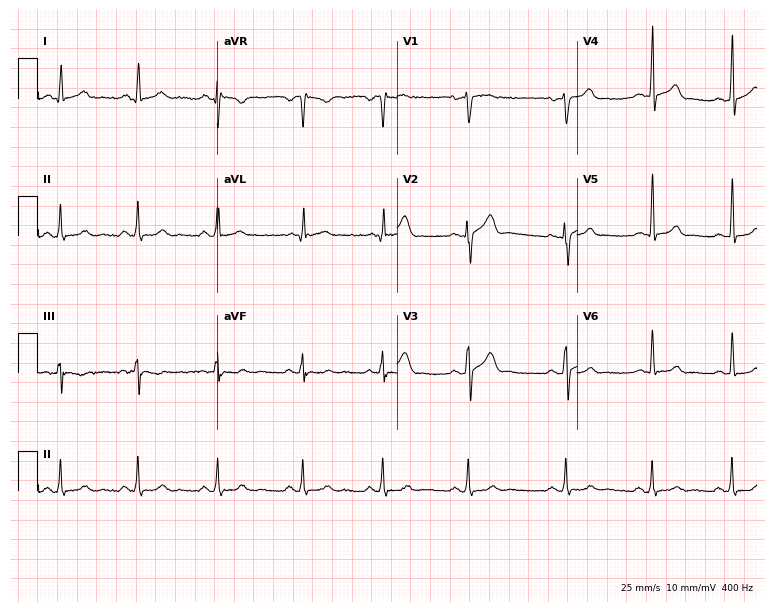
ECG — a 24-year-old man. Labelled as a normal ECG.